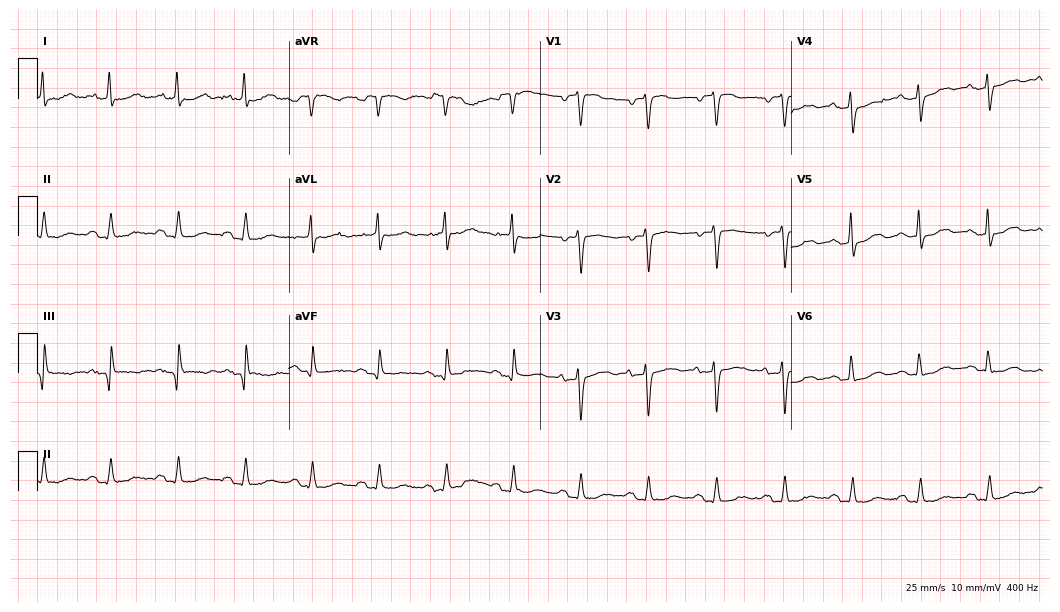
ECG (10.2-second recording at 400 Hz) — a 36-year-old female patient. Labelled as a normal ECG.